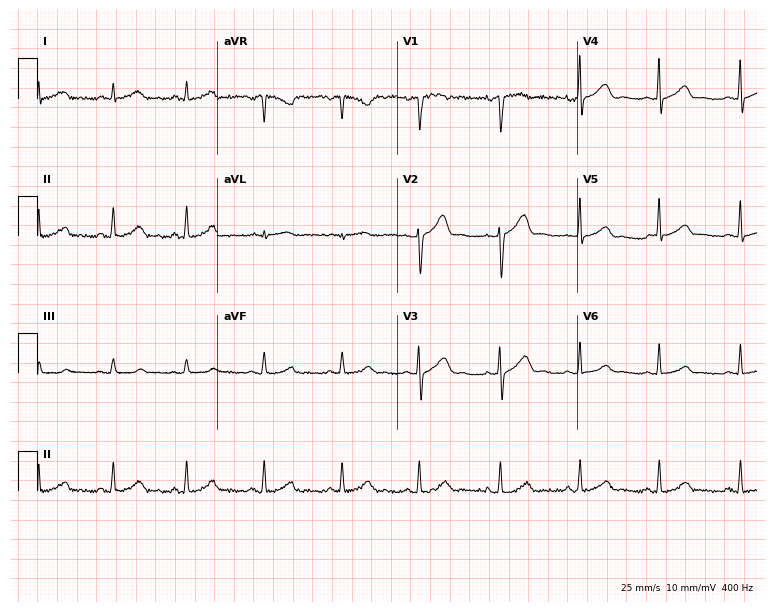
12-lead ECG (7.3-second recording at 400 Hz) from a female, 53 years old. Screened for six findings — first-degree AV block, right bundle branch block, left bundle branch block, sinus bradycardia, atrial fibrillation, sinus tachycardia — none is recorded.